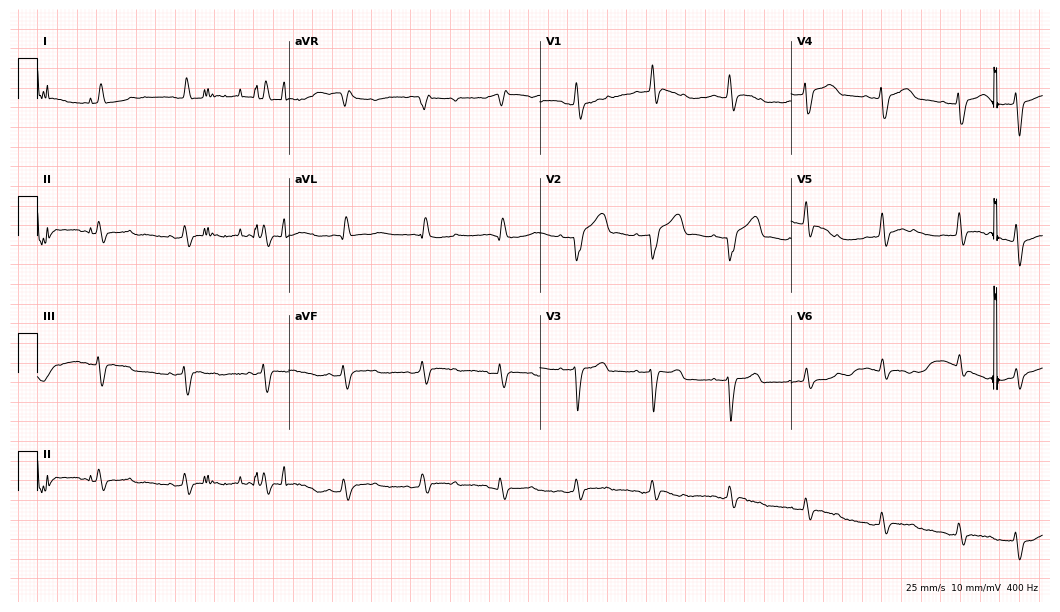
12-lead ECG from an 85-year-old man (10.2-second recording at 400 Hz). No first-degree AV block, right bundle branch block (RBBB), left bundle branch block (LBBB), sinus bradycardia, atrial fibrillation (AF) or sinus tachycardia recorded for this tracing.